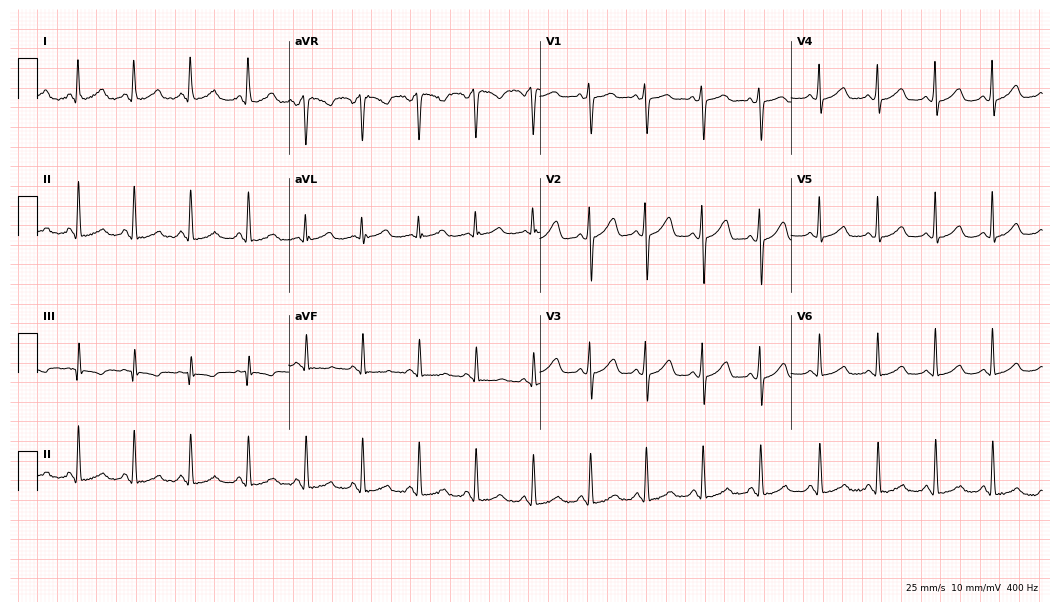
ECG (10.2-second recording at 400 Hz) — a 26-year-old female patient. Findings include sinus tachycardia (a sinus rate of 100 beats per minute or more).